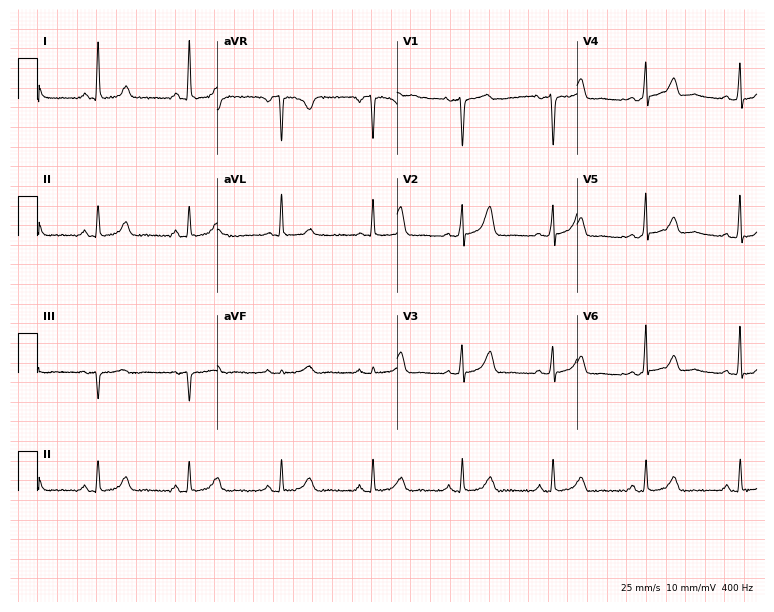
Electrocardiogram, a woman, 46 years old. Overall reading on record: normal ECG.